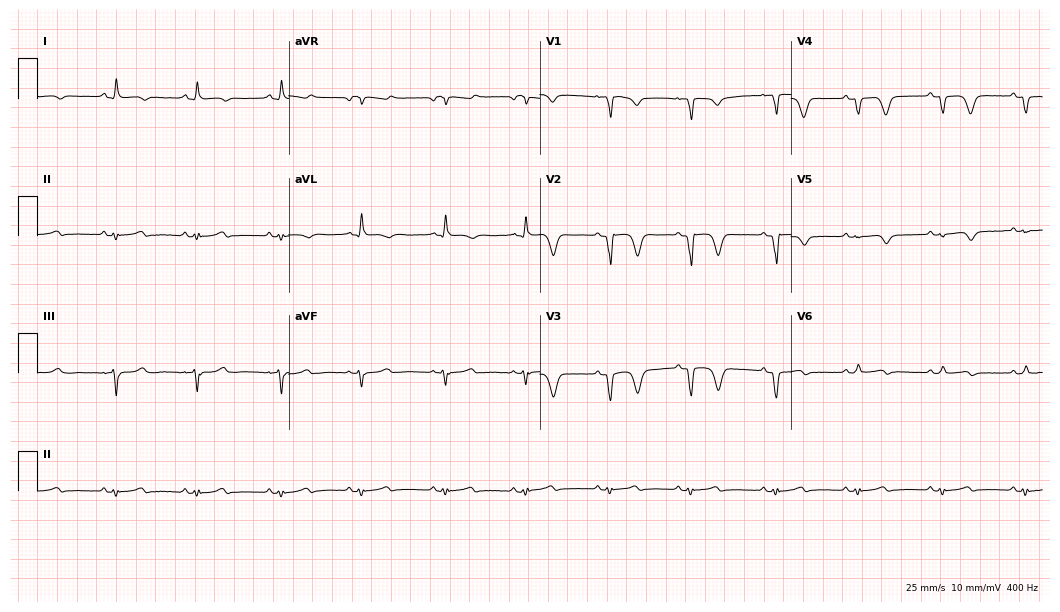
12-lead ECG from a male, 80 years old. Screened for six findings — first-degree AV block, right bundle branch block, left bundle branch block, sinus bradycardia, atrial fibrillation, sinus tachycardia — none is recorded.